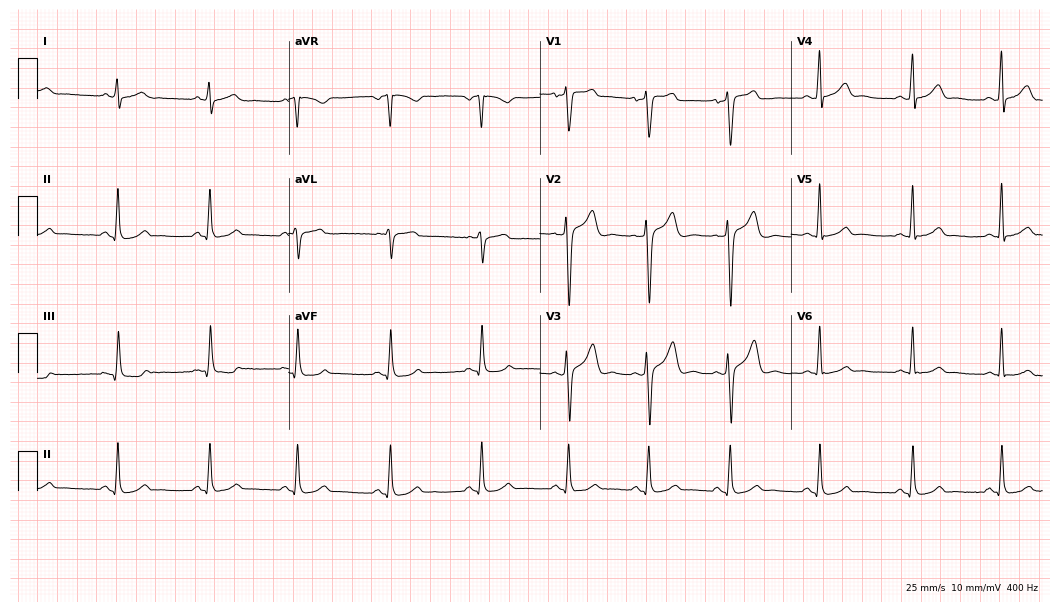
12-lead ECG from a male, 43 years old. Labelled as a normal ECG.